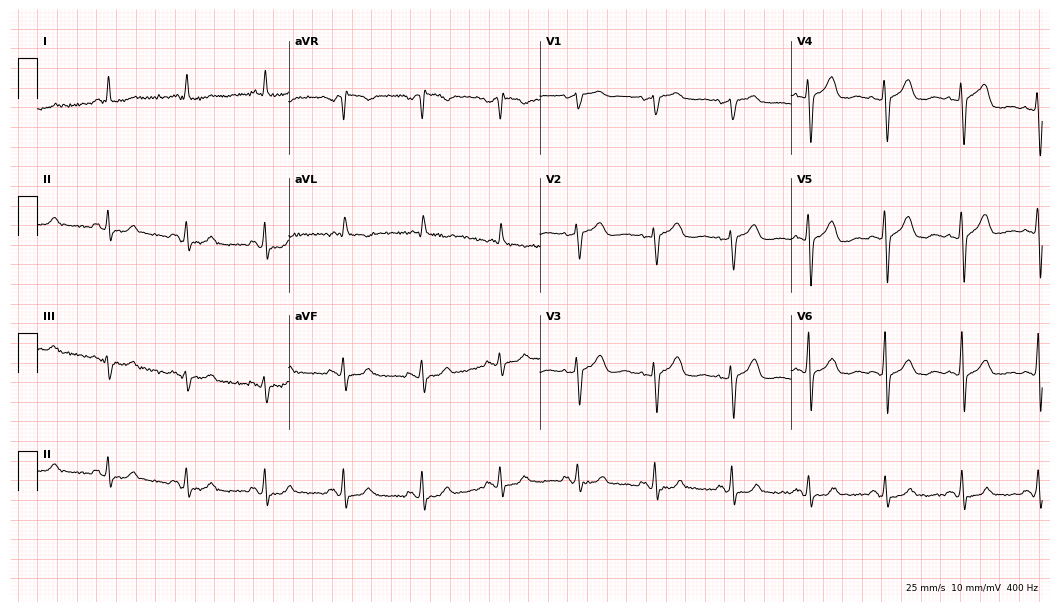
12-lead ECG from a 67-year-old female patient (10.2-second recording at 400 Hz). Recorded interpretation: within normal limits.